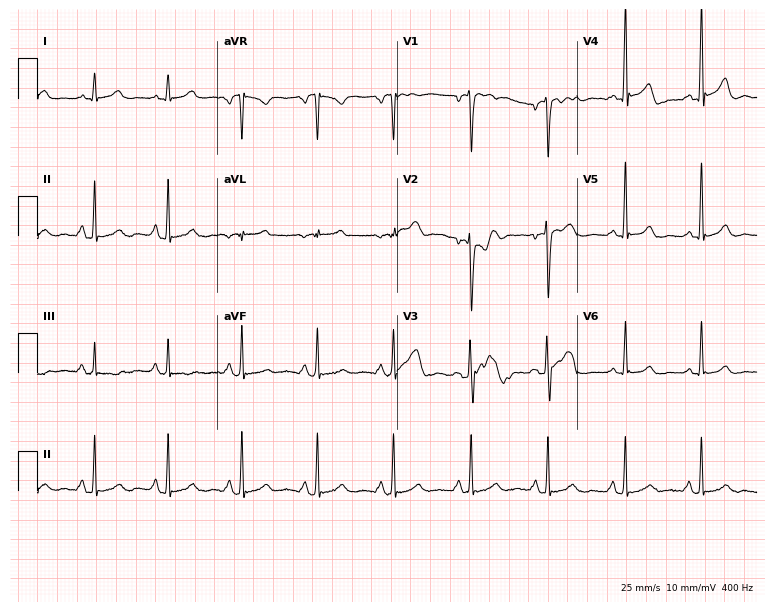
Standard 12-lead ECG recorded from a male, 44 years old (7.3-second recording at 400 Hz). None of these six findings is recorded: first-degree AV block, right bundle branch block (RBBB), left bundle branch block (LBBB), sinus bradycardia, atrial fibrillation (AF), sinus tachycardia.